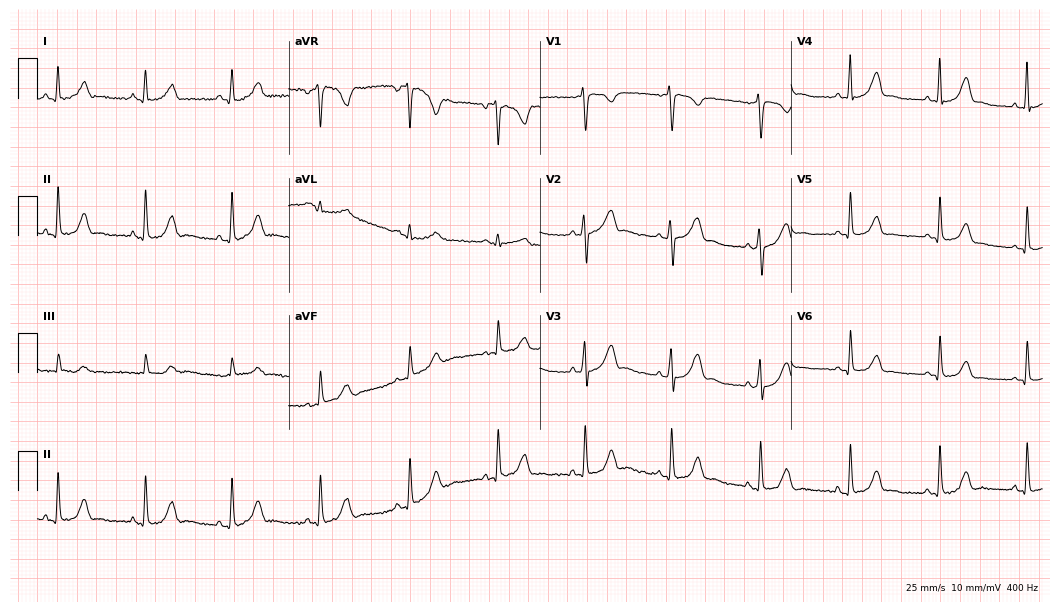
Standard 12-lead ECG recorded from a 30-year-old female (10.2-second recording at 400 Hz). Read as a normal ECG.